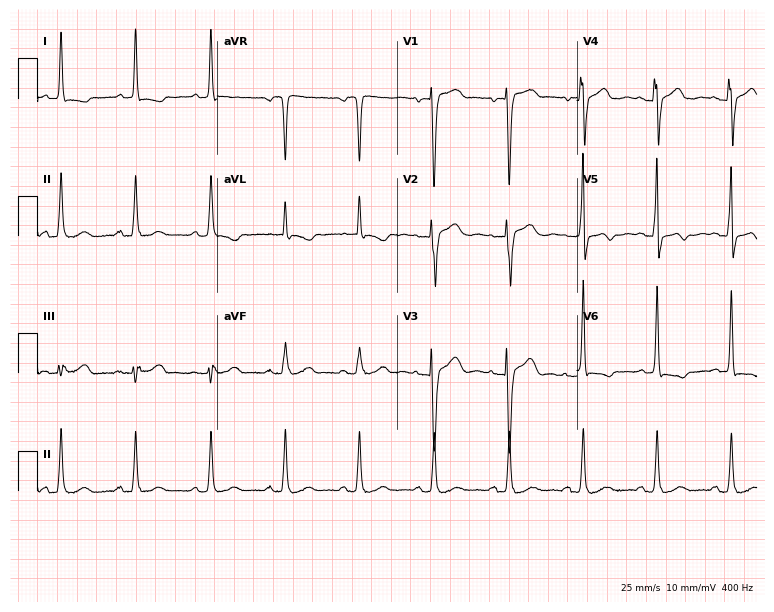
Resting 12-lead electrocardiogram (7.3-second recording at 400 Hz). Patient: a female, 60 years old. None of these six findings is recorded: first-degree AV block, right bundle branch block (RBBB), left bundle branch block (LBBB), sinus bradycardia, atrial fibrillation (AF), sinus tachycardia. Findings outside these six are not listed.